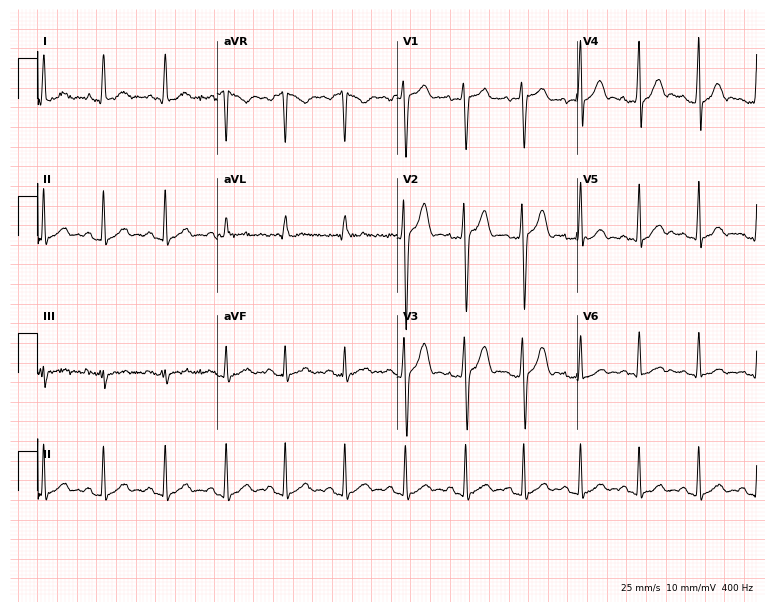
Electrocardiogram, a male patient, 17 years old. Of the six screened findings (first-degree AV block, right bundle branch block, left bundle branch block, sinus bradycardia, atrial fibrillation, sinus tachycardia), none is recorded. Only these six findings were labelled.